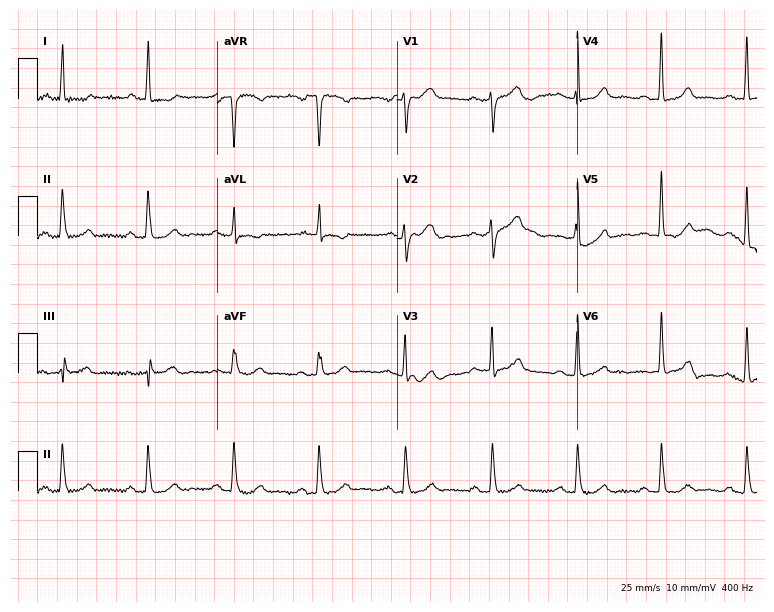
ECG — a female, 52 years old. Screened for six findings — first-degree AV block, right bundle branch block, left bundle branch block, sinus bradycardia, atrial fibrillation, sinus tachycardia — none is recorded.